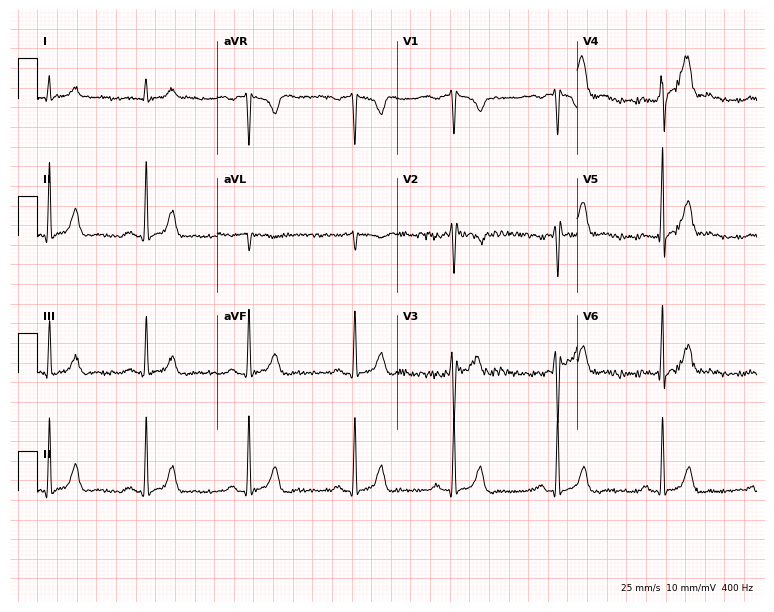
Resting 12-lead electrocardiogram. Patient: a 26-year-old male. None of these six findings is recorded: first-degree AV block, right bundle branch block, left bundle branch block, sinus bradycardia, atrial fibrillation, sinus tachycardia. Findings outside these six are not listed.